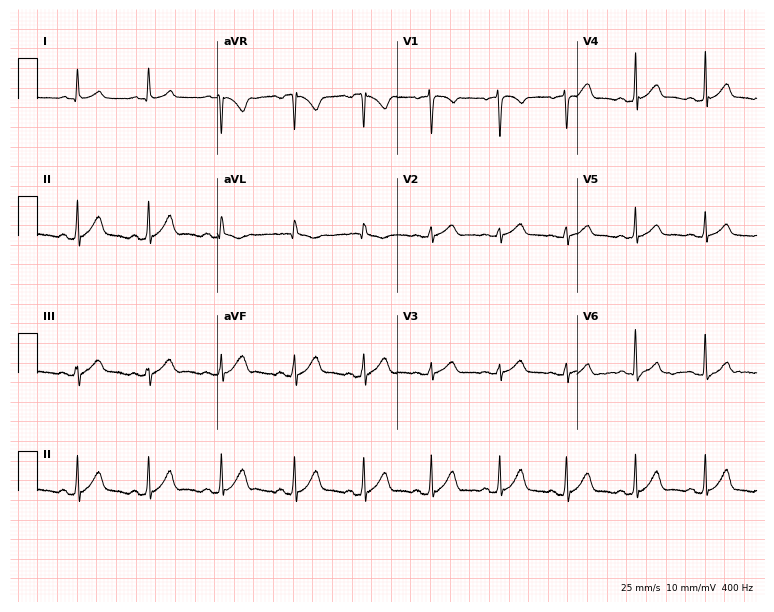
Resting 12-lead electrocardiogram. Patient: a man, 50 years old. None of these six findings is recorded: first-degree AV block, right bundle branch block, left bundle branch block, sinus bradycardia, atrial fibrillation, sinus tachycardia.